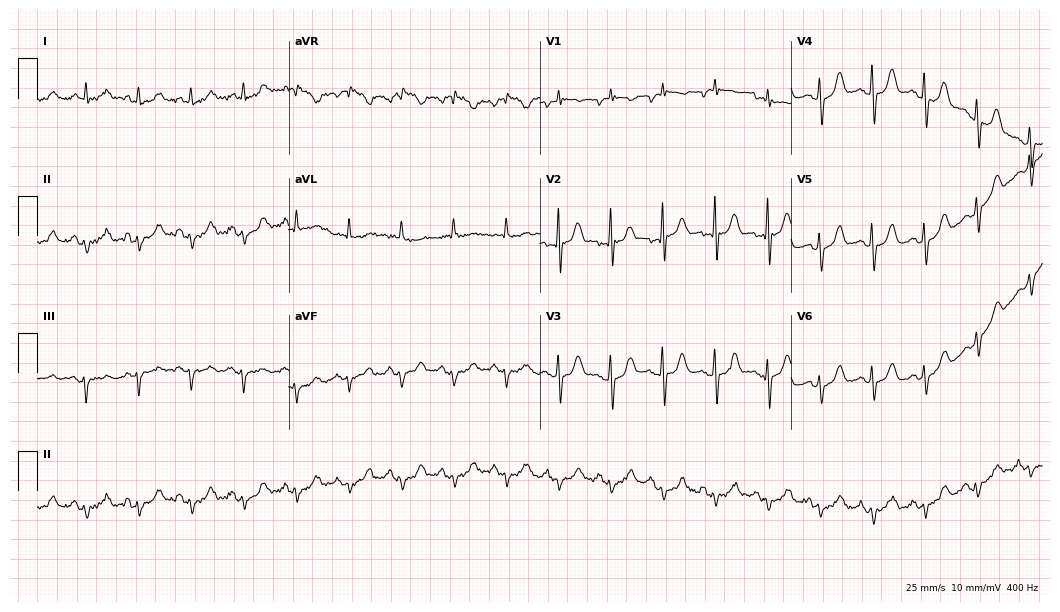
12-lead ECG from a female patient, 70 years old. Shows sinus tachycardia (a sinus rate of 100 beats per minute or more).